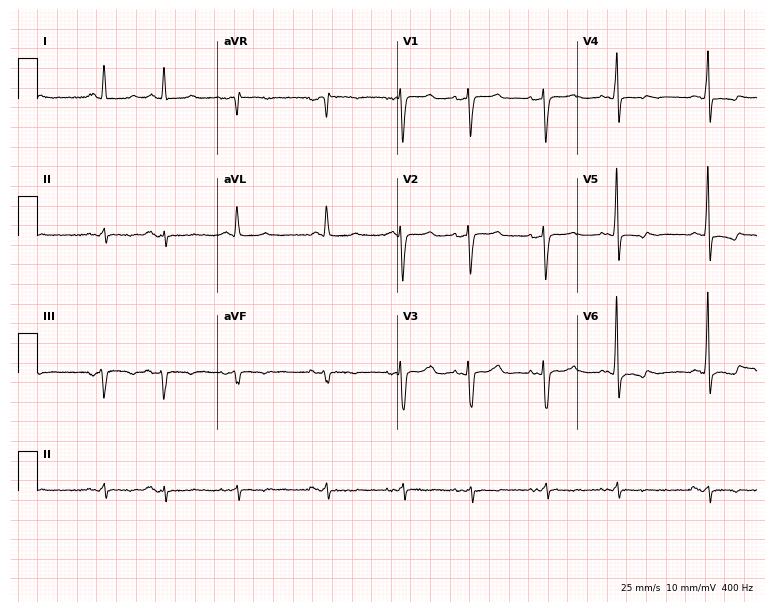
ECG (7.3-second recording at 400 Hz) — a female patient, 72 years old. Screened for six findings — first-degree AV block, right bundle branch block, left bundle branch block, sinus bradycardia, atrial fibrillation, sinus tachycardia — none is recorded. Findings outside these six are not listed.